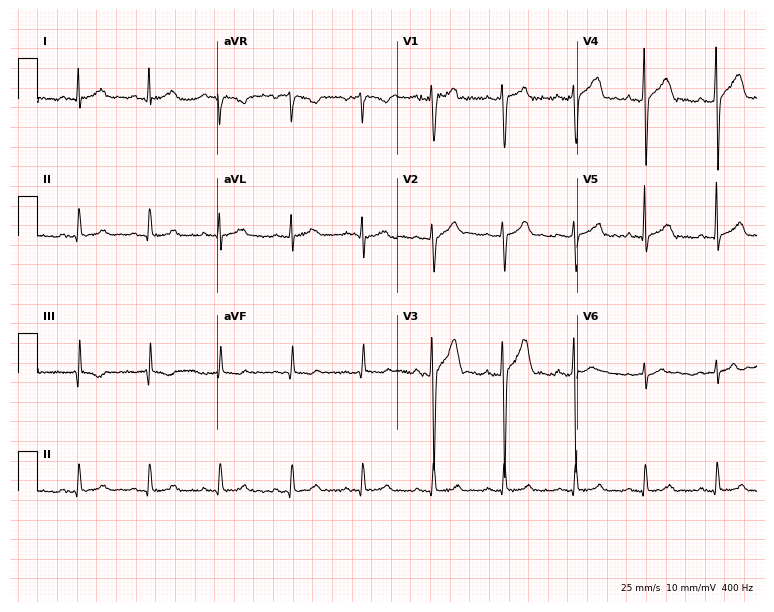
Resting 12-lead electrocardiogram (7.3-second recording at 400 Hz). Patient: a male, 38 years old. None of these six findings is recorded: first-degree AV block, right bundle branch block, left bundle branch block, sinus bradycardia, atrial fibrillation, sinus tachycardia. Findings outside these six are not listed.